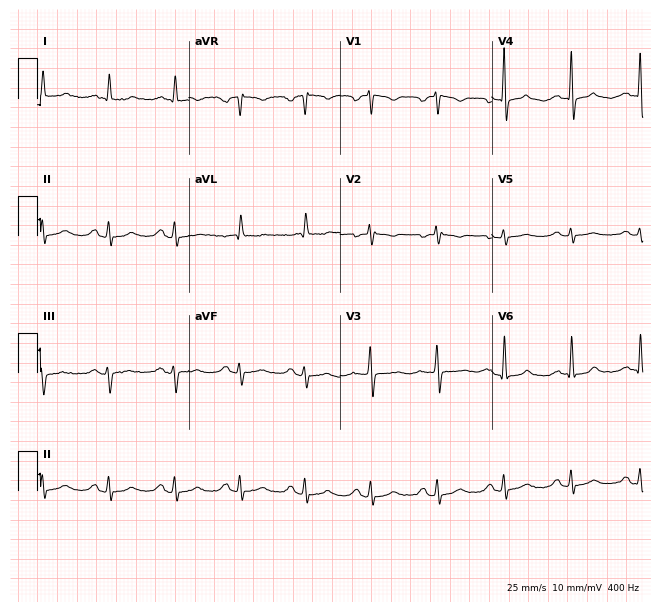
ECG (6.2-second recording at 400 Hz) — a 51-year-old woman. Labelled as a normal ECG.